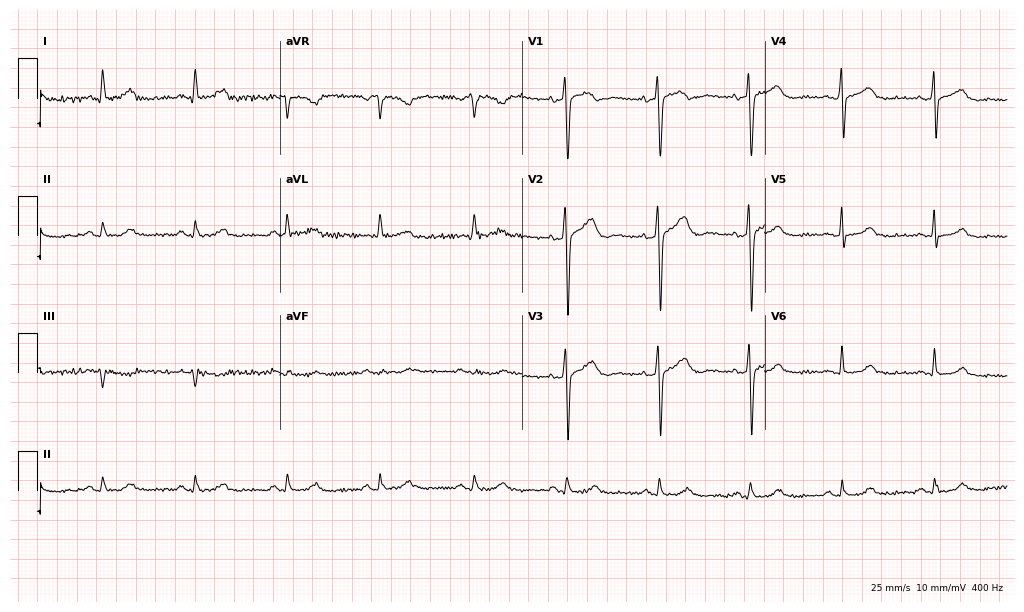
Electrocardiogram (9.9-second recording at 400 Hz), a female, 58 years old. Of the six screened findings (first-degree AV block, right bundle branch block (RBBB), left bundle branch block (LBBB), sinus bradycardia, atrial fibrillation (AF), sinus tachycardia), none is recorded. Only these six findings were labelled.